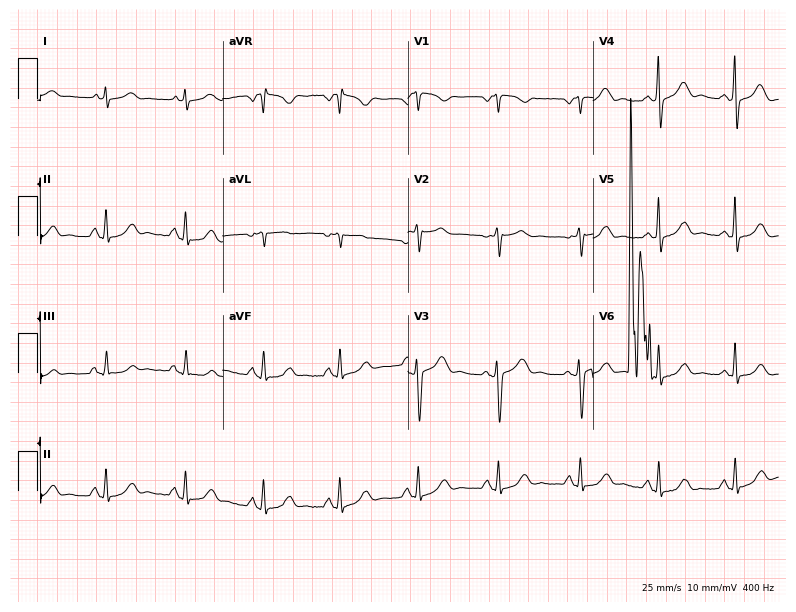
Standard 12-lead ECG recorded from a woman, 54 years old. None of these six findings is recorded: first-degree AV block, right bundle branch block, left bundle branch block, sinus bradycardia, atrial fibrillation, sinus tachycardia. Only these six findings were labelled.